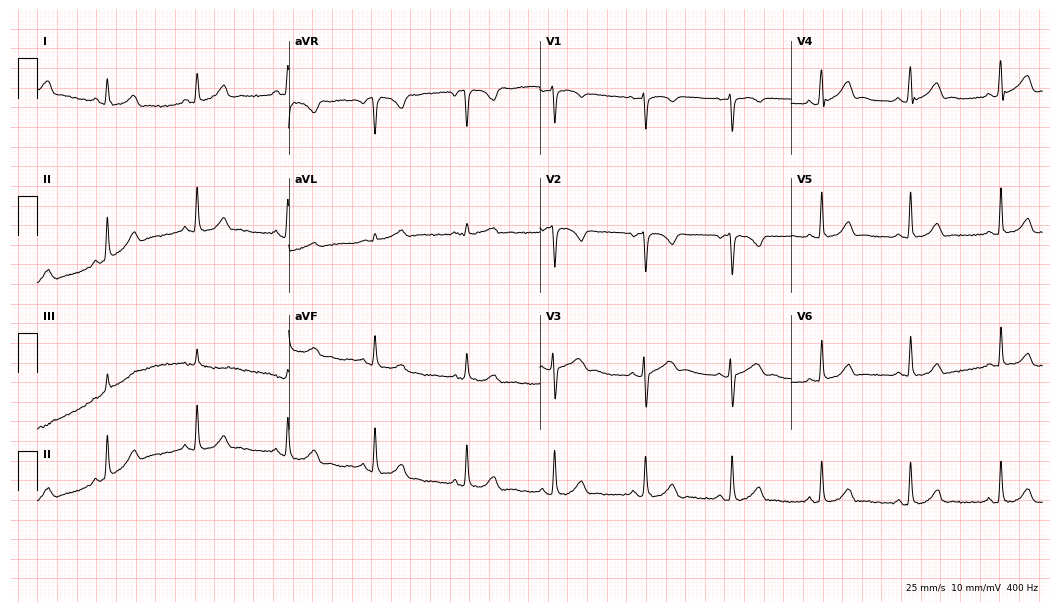
Electrocardiogram (10.2-second recording at 400 Hz), a woman, 39 years old. Overall reading on record: normal ECG.